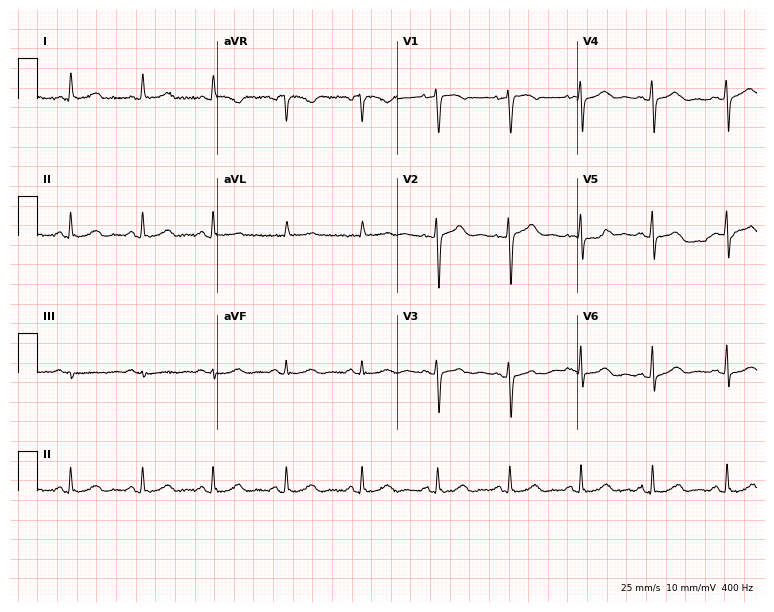
Resting 12-lead electrocardiogram. Patient: a 60-year-old female. None of these six findings is recorded: first-degree AV block, right bundle branch block, left bundle branch block, sinus bradycardia, atrial fibrillation, sinus tachycardia. Findings outside these six are not listed.